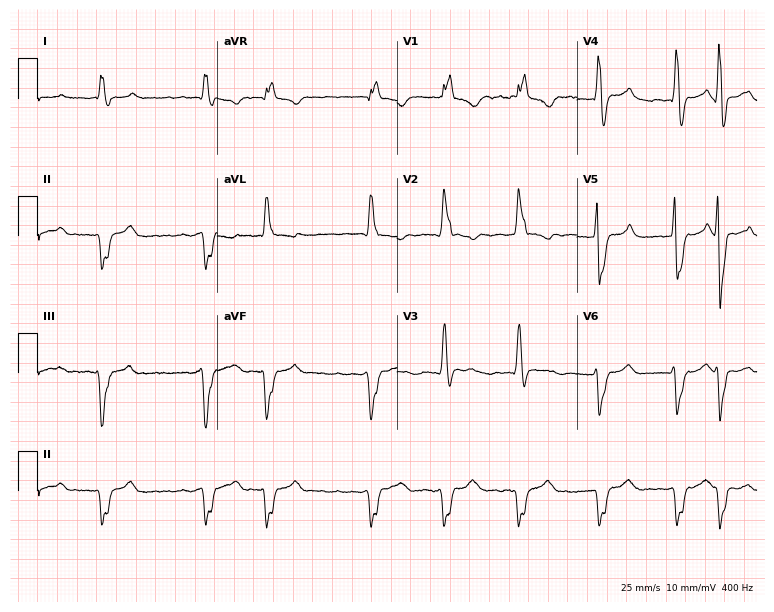
ECG — a man, 47 years old. Findings include right bundle branch block (RBBB), atrial fibrillation (AF).